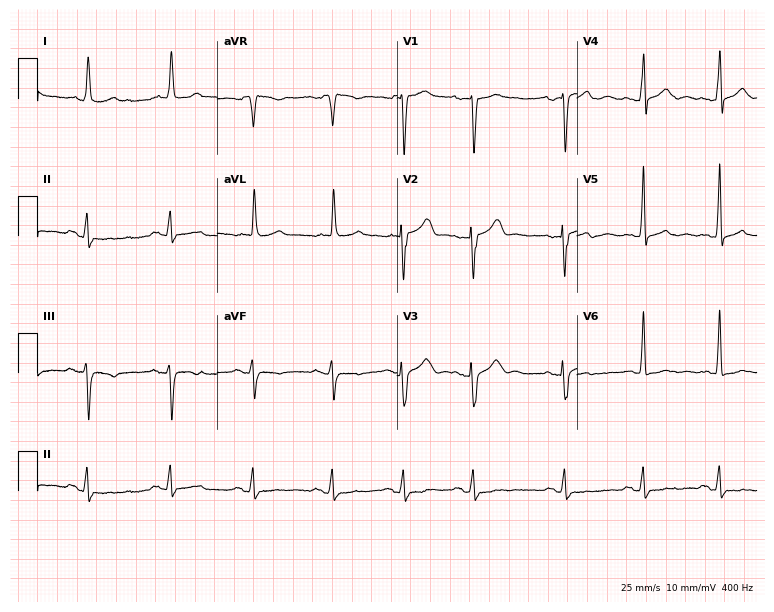
Standard 12-lead ECG recorded from a female, 79 years old. None of these six findings is recorded: first-degree AV block, right bundle branch block, left bundle branch block, sinus bradycardia, atrial fibrillation, sinus tachycardia.